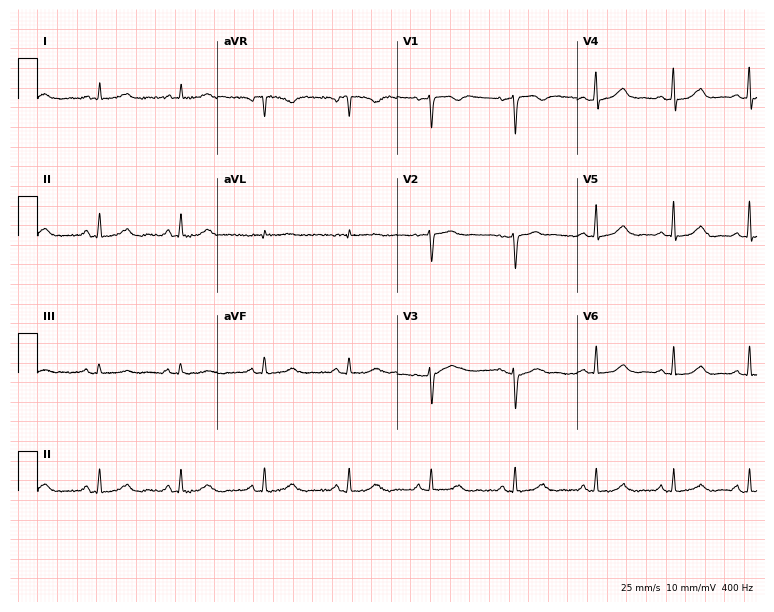
Standard 12-lead ECG recorded from a 53-year-old woman. None of these six findings is recorded: first-degree AV block, right bundle branch block (RBBB), left bundle branch block (LBBB), sinus bradycardia, atrial fibrillation (AF), sinus tachycardia. Findings outside these six are not listed.